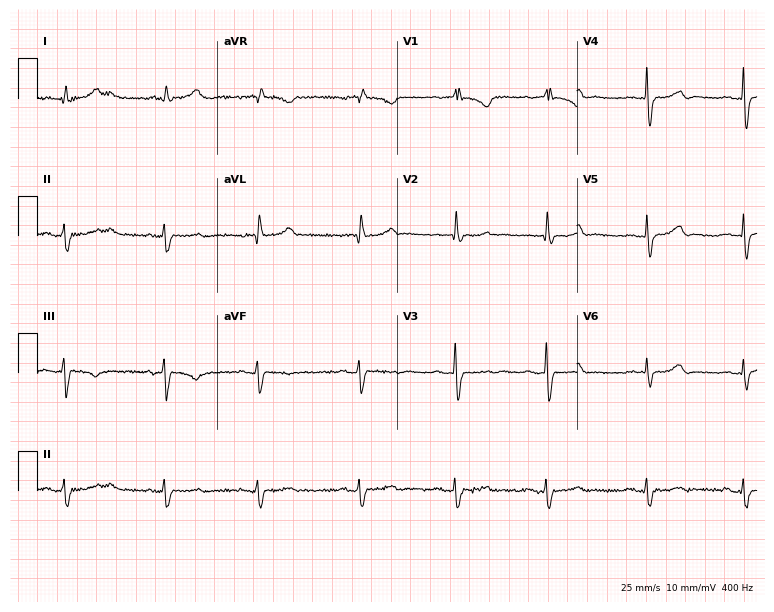
Standard 12-lead ECG recorded from a 66-year-old male (7.3-second recording at 400 Hz). None of these six findings is recorded: first-degree AV block, right bundle branch block, left bundle branch block, sinus bradycardia, atrial fibrillation, sinus tachycardia.